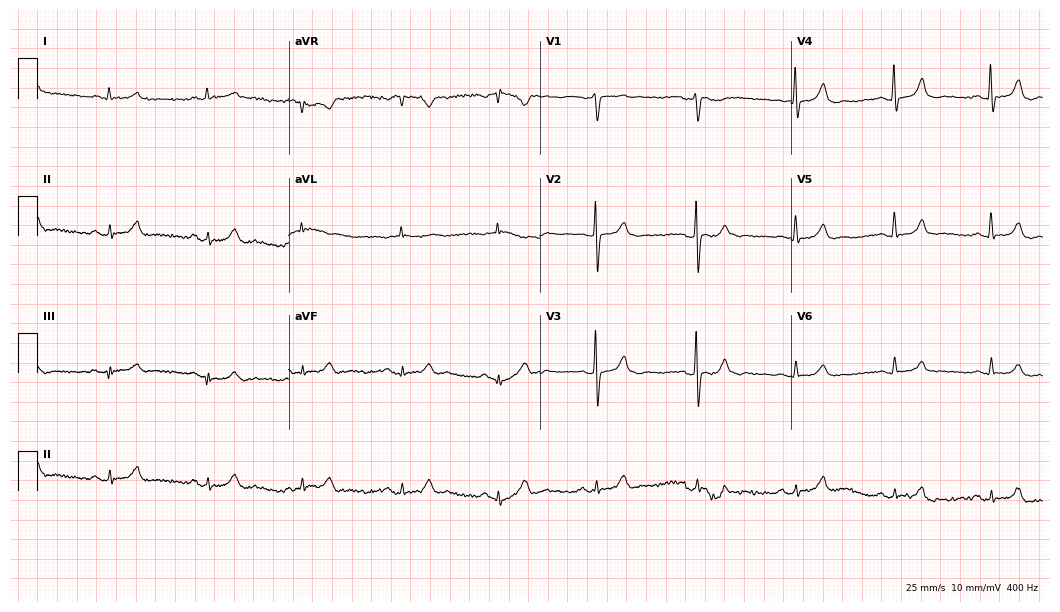
Electrocardiogram, a male patient, 71 years old. Overall reading on record: normal ECG.